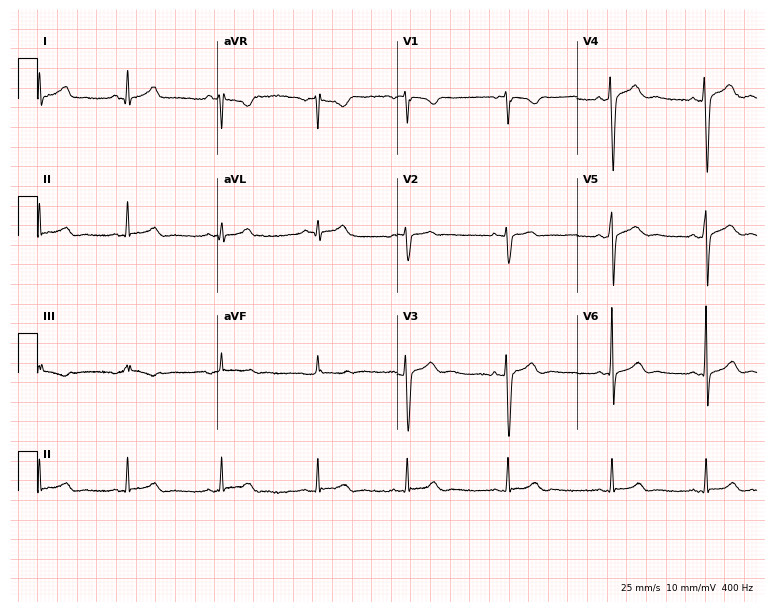
12-lead ECG from a 32-year-old woman. No first-degree AV block, right bundle branch block, left bundle branch block, sinus bradycardia, atrial fibrillation or sinus tachycardia recorded for this tracing. Other findings, if any, are not listed.